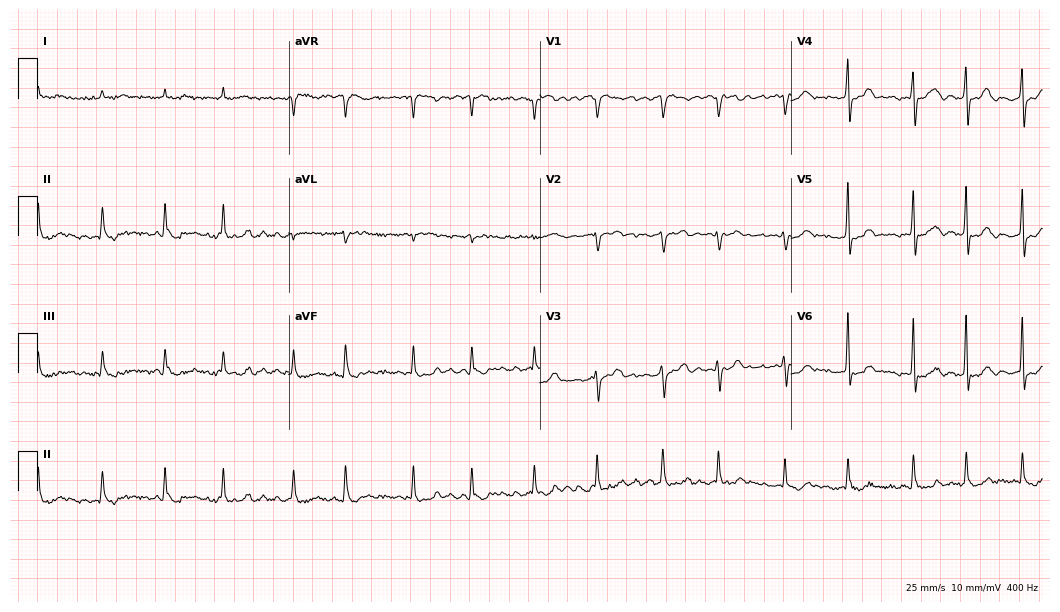
Resting 12-lead electrocardiogram (10.2-second recording at 400 Hz). Patient: a male, 80 years old. The tracing shows atrial fibrillation.